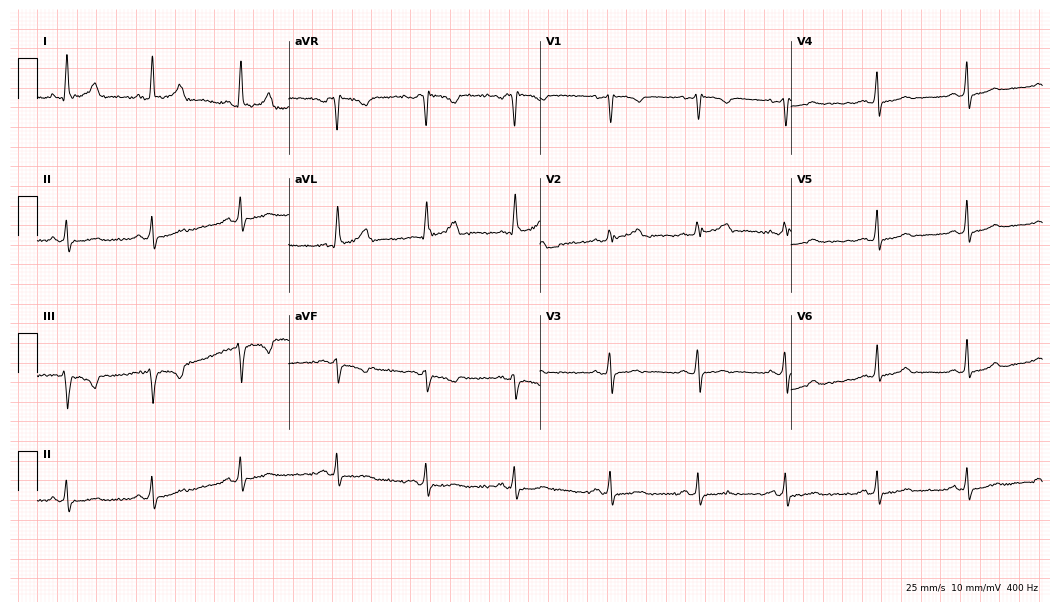
Electrocardiogram, a 31-year-old woman. Of the six screened findings (first-degree AV block, right bundle branch block, left bundle branch block, sinus bradycardia, atrial fibrillation, sinus tachycardia), none is recorded. Findings outside these six are not listed.